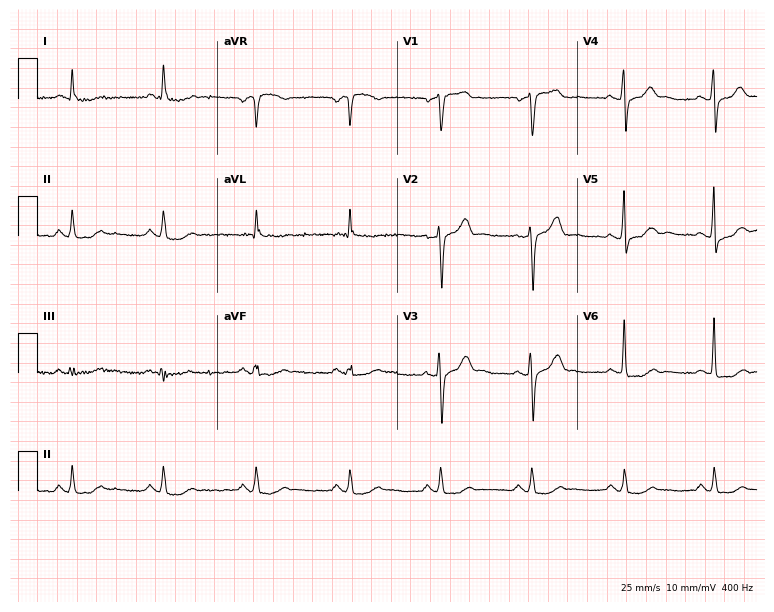
12-lead ECG from a 63-year-old man. Screened for six findings — first-degree AV block, right bundle branch block (RBBB), left bundle branch block (LBBB), sinus bradycardia, atrial fibrillation (AF), sinus tachycardia — none is recorded. Only these six findings were labelled.